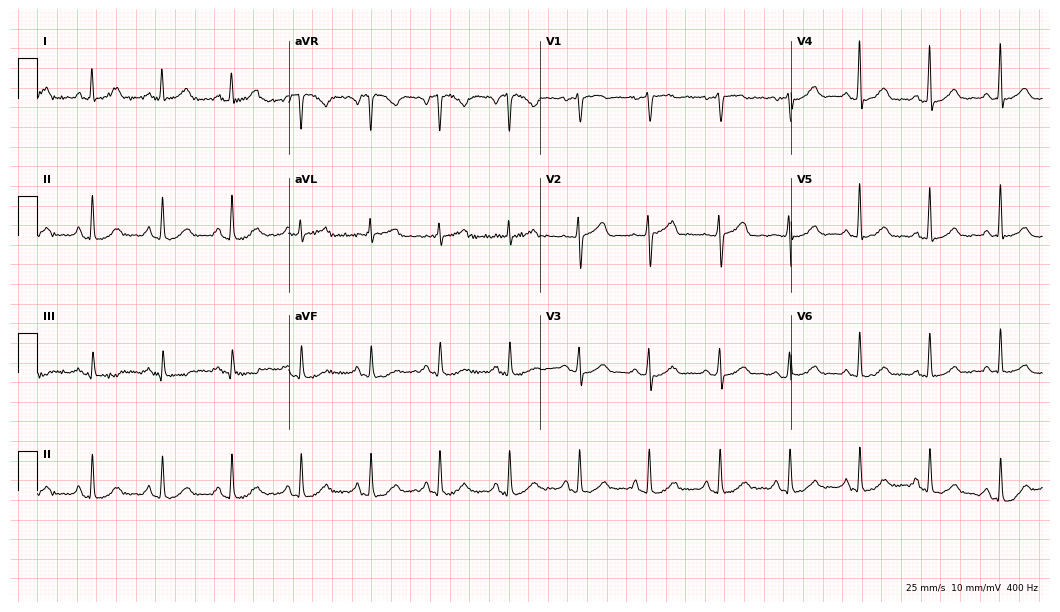
12-lead ECG (10.2-second recording at 400 Hz) from a female, 61 years old. Labelled as a normal ECG.